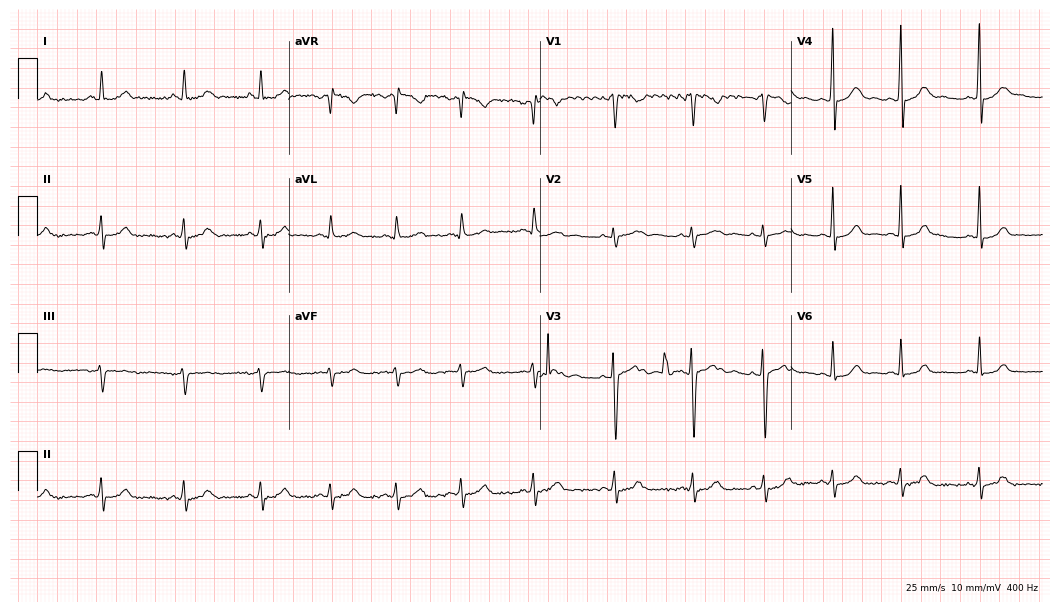
ECG — a female, 23 years old. Labelled as a normal ECG.